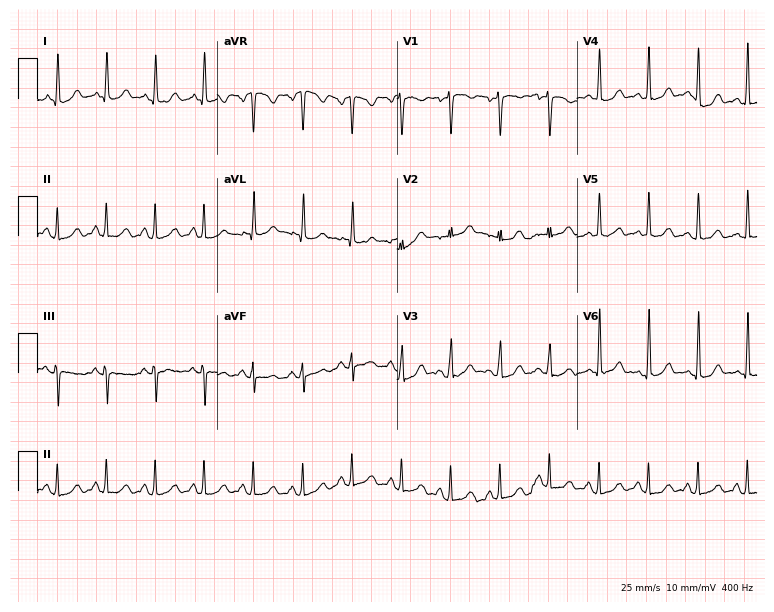
12-lead ECG from a 27-year-old female. Findings include sinus tachycardia (a sinus rate of 100 beats per minute or more).